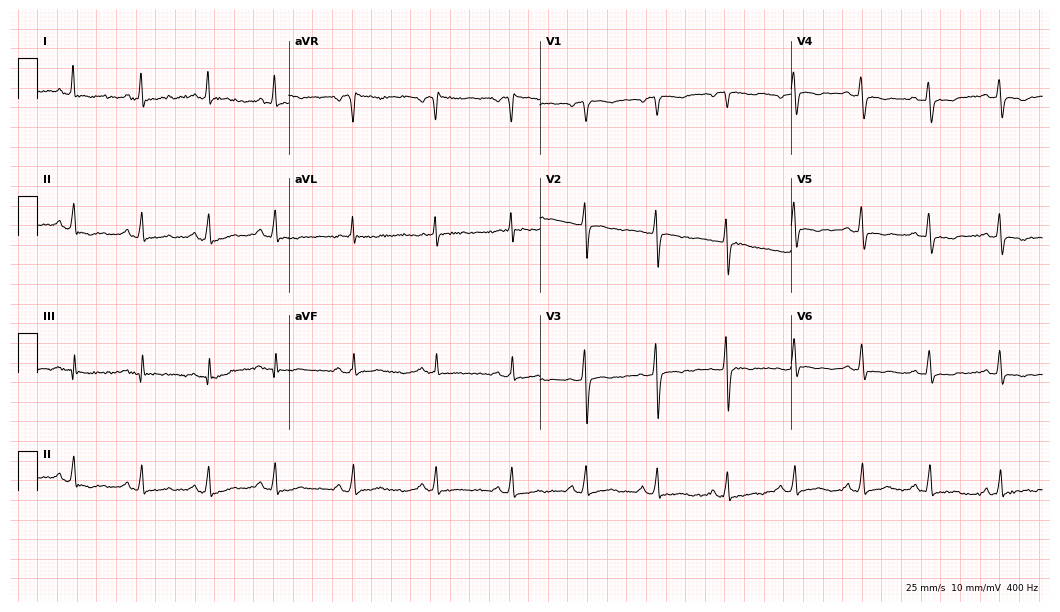
Standard 12-lead ECG recorded from a 54-year-old woman. None of these six findings is recorded: first-degree AV block, right bundle branch block (RBBB), left bundle branch block (LBBB), sinus bradycardia, atrial fibrillation (AF), sinus tachycardia. Only these six findings were labelled.